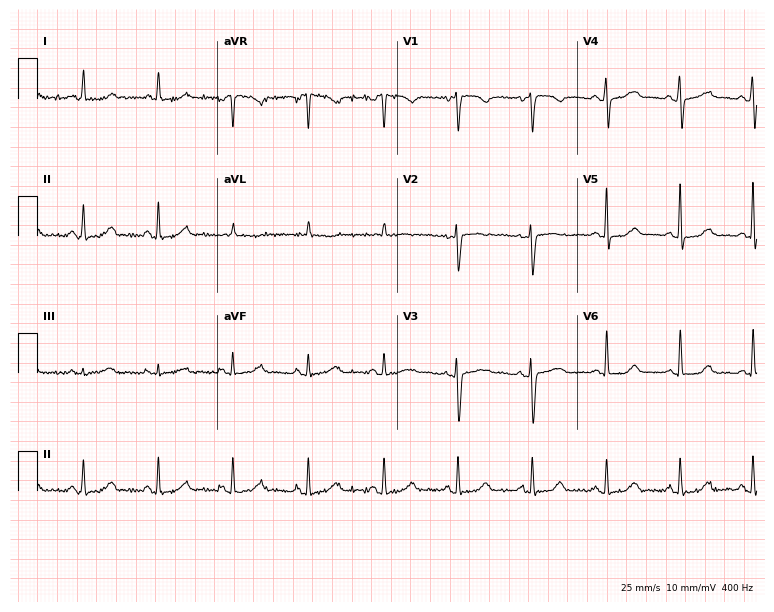
Standard 12-lead ECG recorded from a 44-year-old female patient. None of these six findings is recorded: first-degree AV block, right bundle branch block, left bundle branch block, sinus bradycardia, atrial fibrillation, sinus tachycardia.